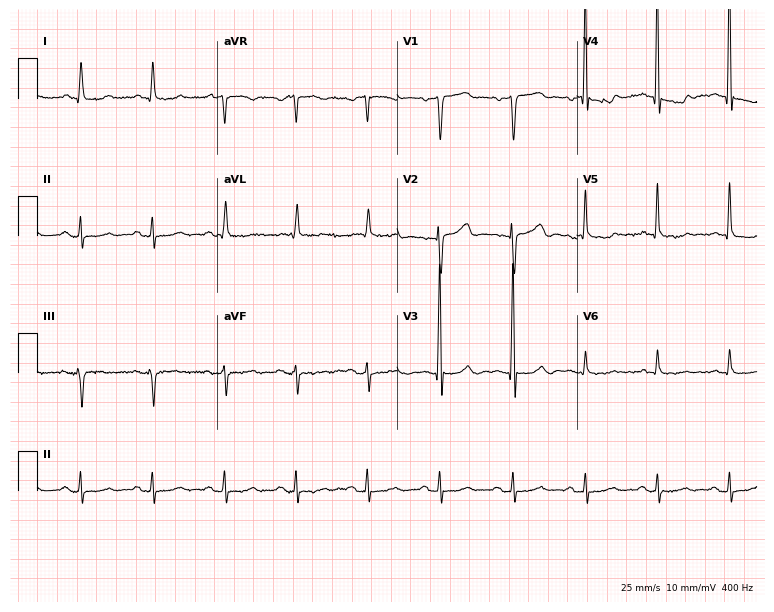
12-lead ECG (7.3-second recording at 400 Hz) from a male patient, 64 years old. Screened for six findings — first-degree AV block, right bundle branch block (RBBB), left bundle branch block (LBBB), sinus bradycardia, atrial fibrillation (AF), sinus tachycardia — none is recorded.